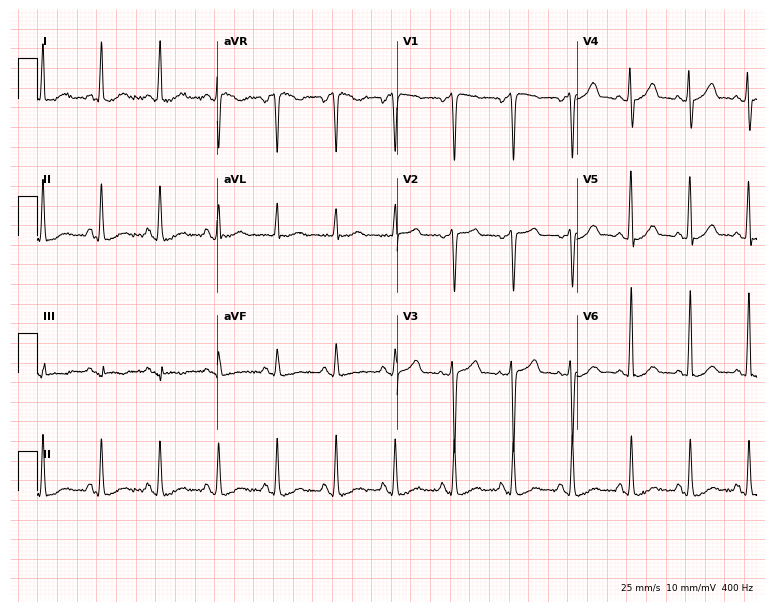
ECG — a 61-year-old woman. Screened for six findings — first-degree AV block, right bundle branch block, left bundle branch block, sinus bradycardia, atrial fibrillation, sinus tachycardia — none is recorded. Findings outside these six are not listed.